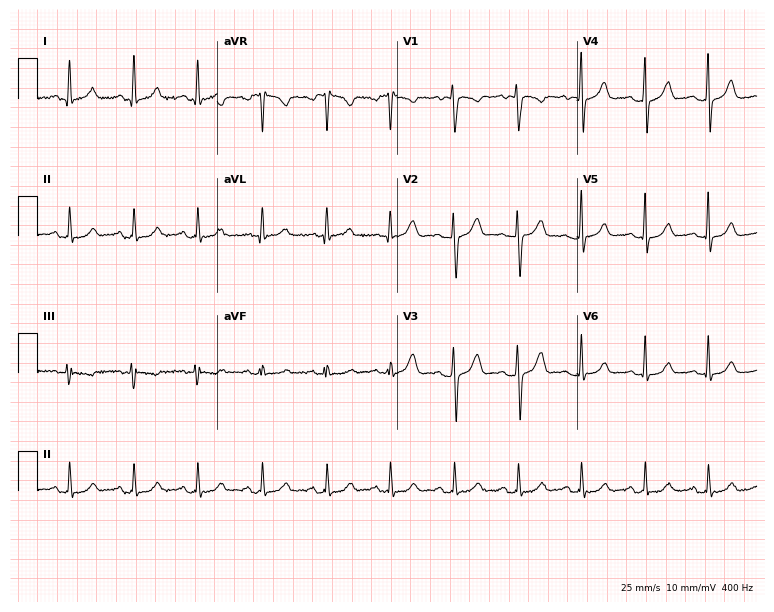
Resting 12-lead electrocardiogram (7.3-second recording at 400 Hz). Patient: a 31-year-old woman. Read as a normal ECG.